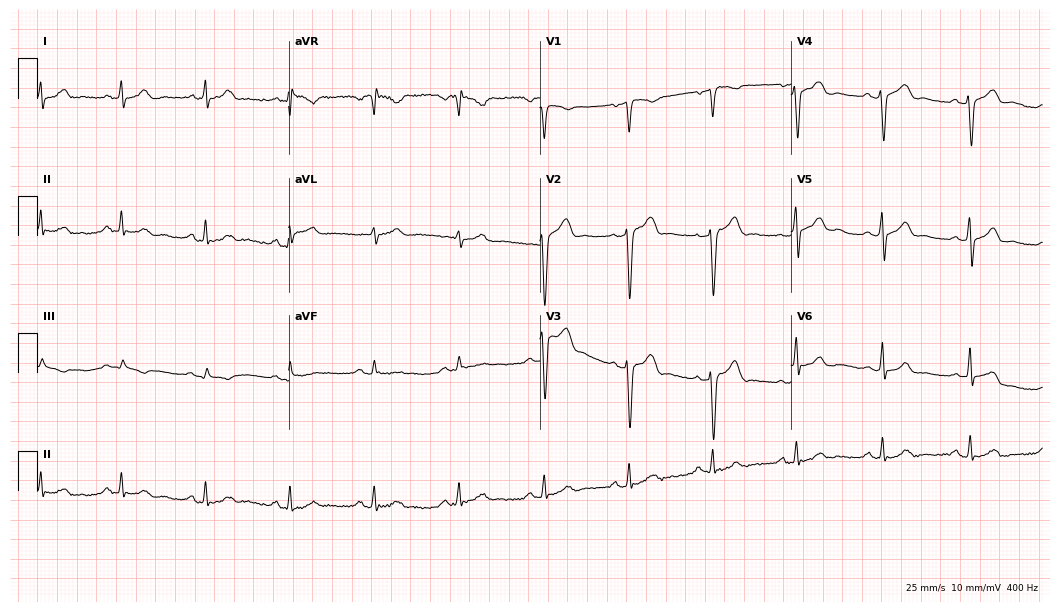
Resting 12-lead electrocardiogram. Patient: a 51-year-old man. Read as a normal ECG.